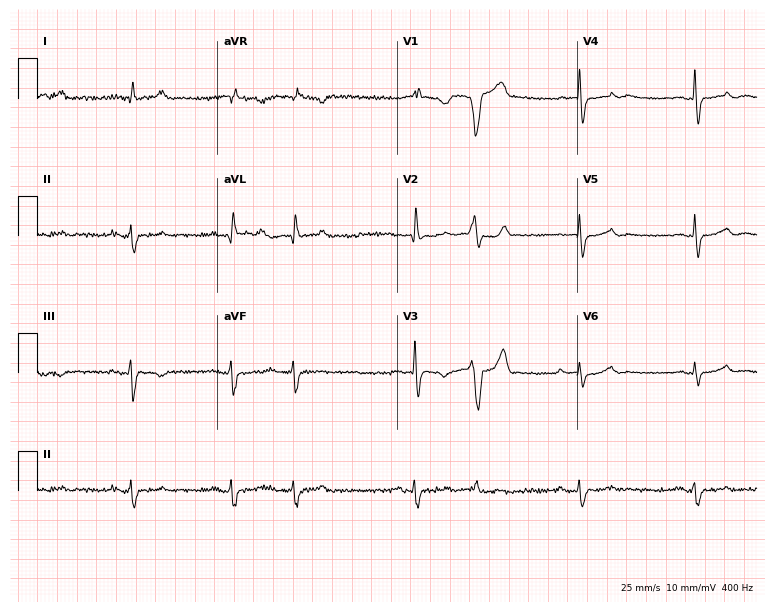
Electrocardiogram (7.3-second recording at 400 Hz), a male patient, 66 years old. Interpretation includes sinus bradycardia (a sinus rate of 50 beats per minute or less).